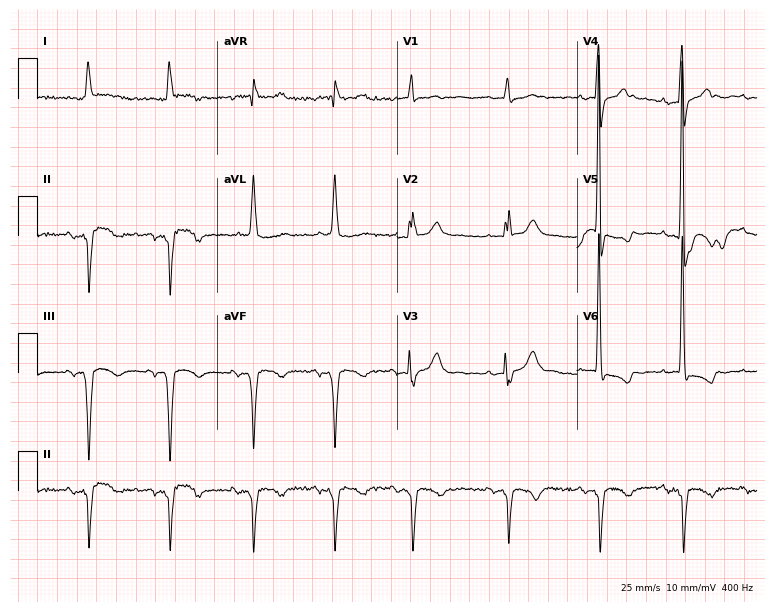
Resting 12-lead electrocardiogram. Patient: a man, 85 years old. None of these six findings is recorded: first-degree AV block, right bundle branch block, left bundle branch block, sinus bradycardia, atrial fibrillation, sinus tachycardia.